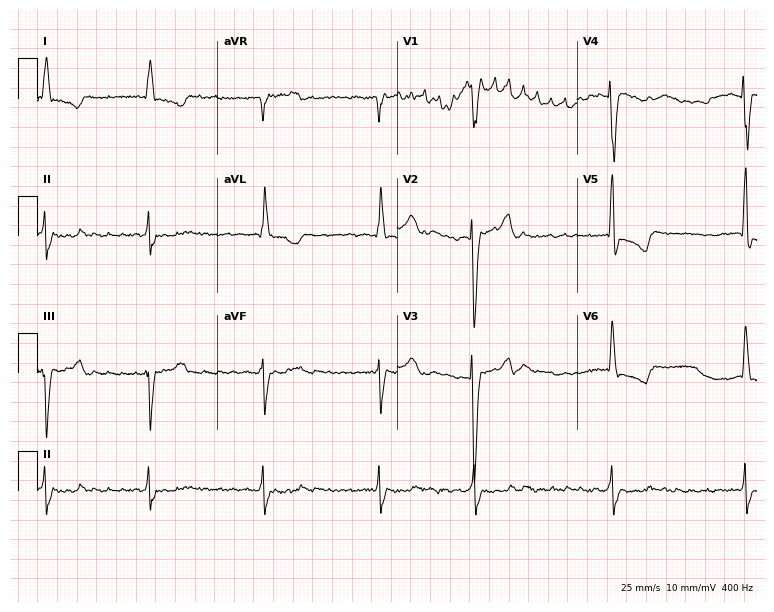
12-lead ECG (7.3-second recording at 400 Hz) from a 68-year-old man. Findings include atrial fibrillation.